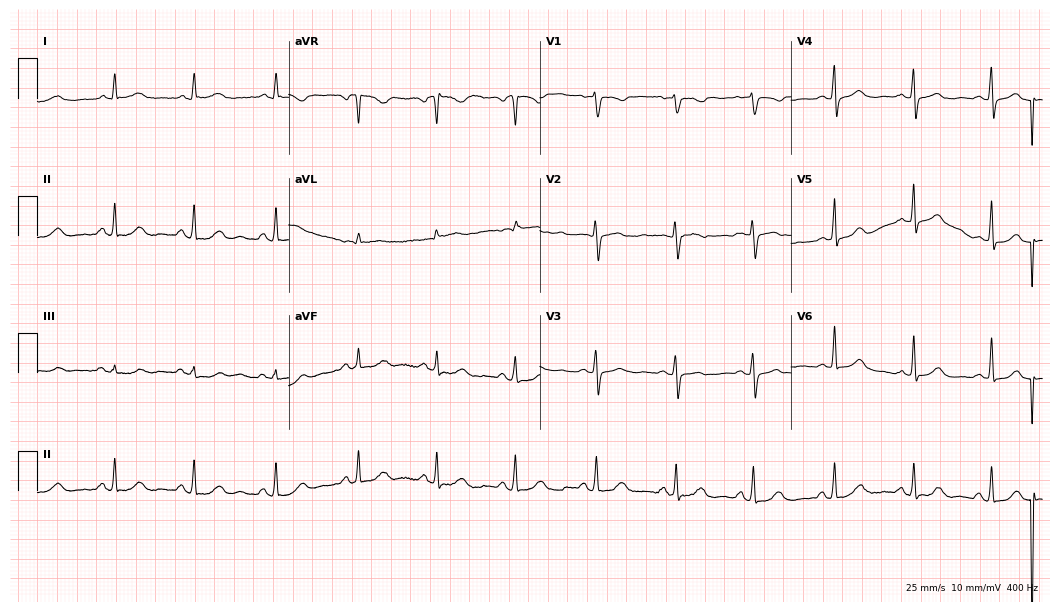
ECG (10.2-second recording at 400 Hz) — a woman, 61 years old. Labelled as a normal ECG.